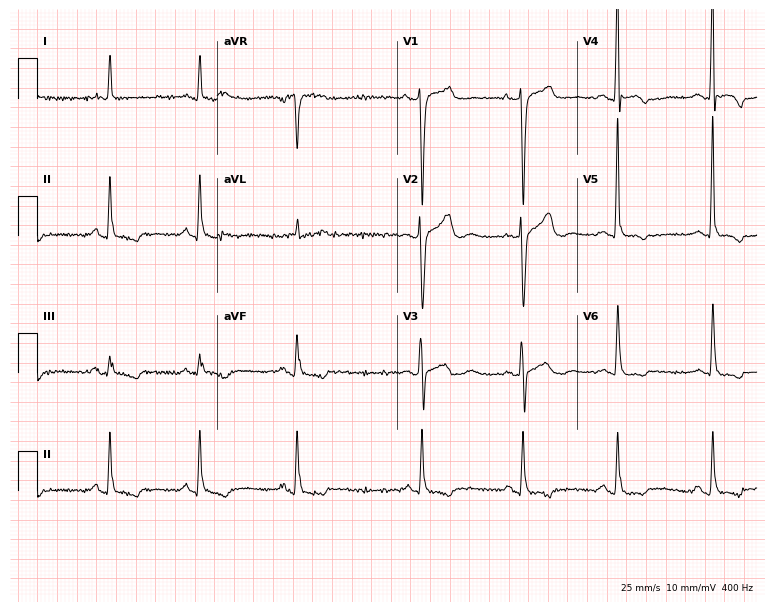
12-lead ECG from a 68-year-old female. No first-degree AV block, right bundle branch block (RBBB), left bundle branch block (LBBB), sinus bradycardia, atrial fibrillation (AF) or sinus tachycardia recorded for this tracing.